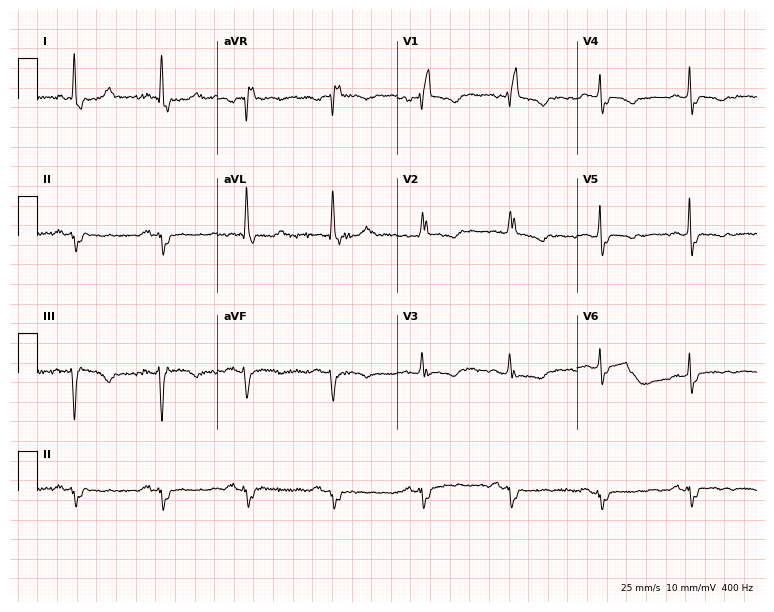
ECG (7.3-second recording at 400 Hz) — a 76-year-old woman. Findings include right bundle branch block.